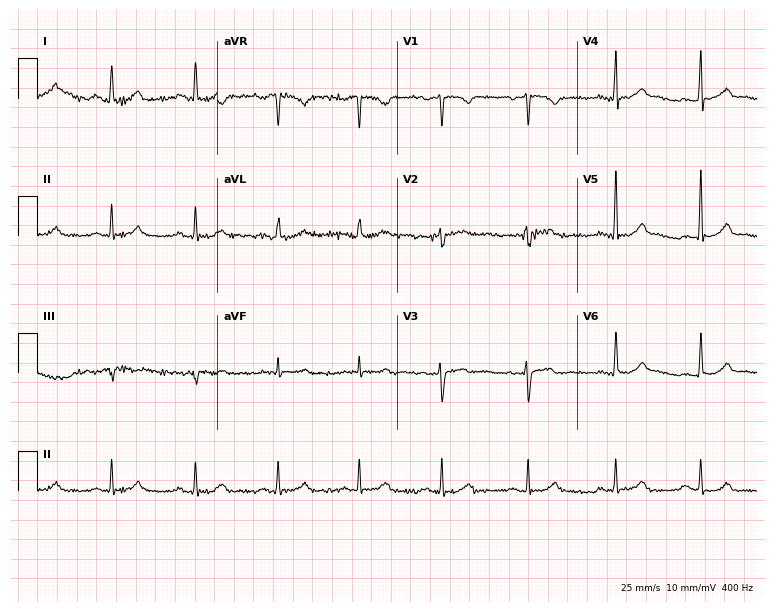
ECG (7.3-second recording at 400 Hz) — a 45-year-old female patient. Screened for six findings — first-degree AV block, right bundle branch block, left bundle branch block, sinus bradycardia, atrial fibrillation, sinus tachycardia — none is recorded.